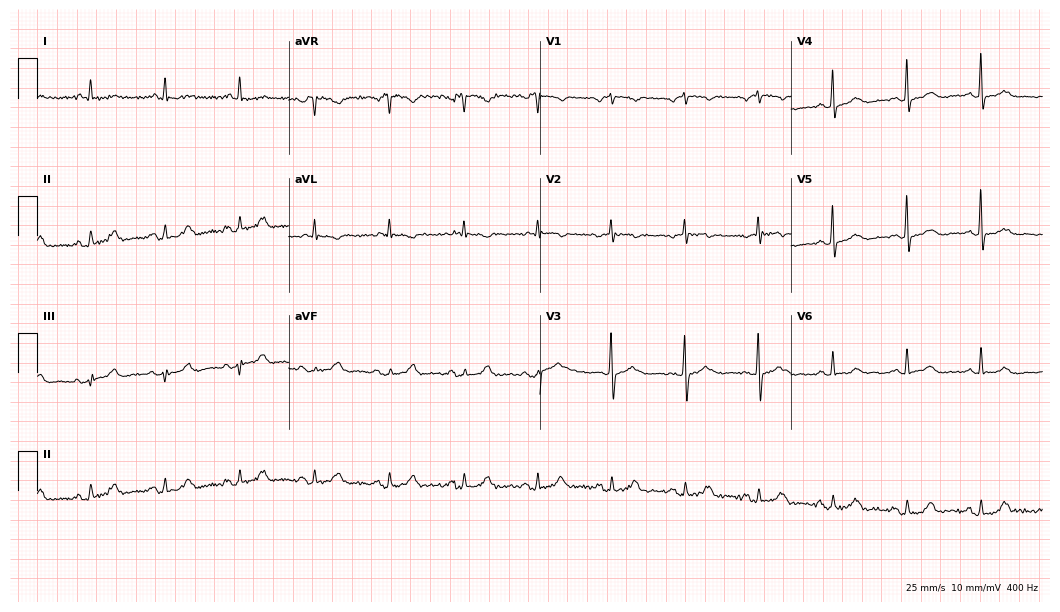
12-lead ECG from a female, 58 years old. Recorded interpretation: within normal limits.